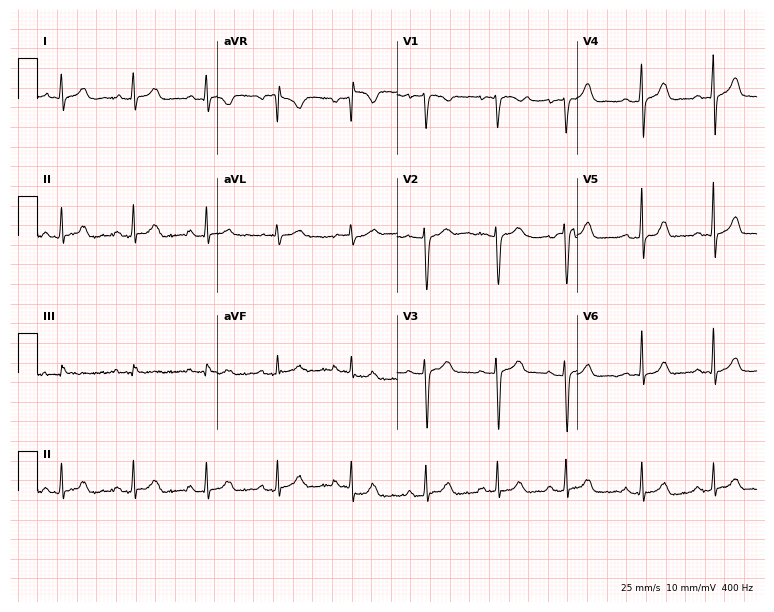
ECG (7.3-second recording at 400 Hz) — a woman, 20 years old. Labelled as a normal ECG.